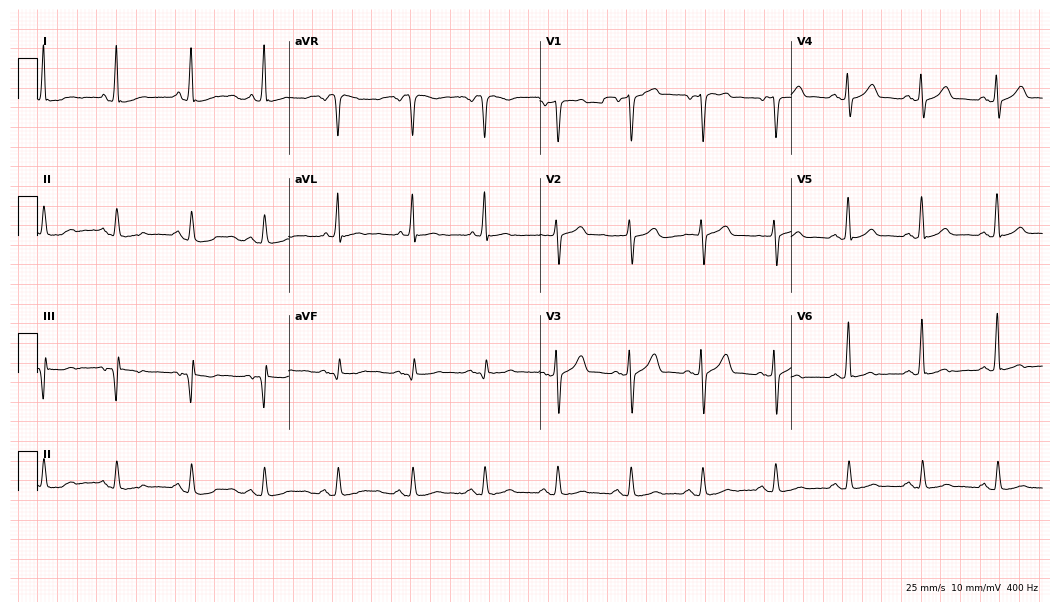
Standard 12-lead ECG recorded from a male, 67 years old (10.2-second recording at 400 Hz). None of these six findings is recorded: first-degree AV block, right bundle branch block, left bundle branch block, sinus bradycardia, atrial fibrillation, sinus tachycardia. Only these six findings were labelled.